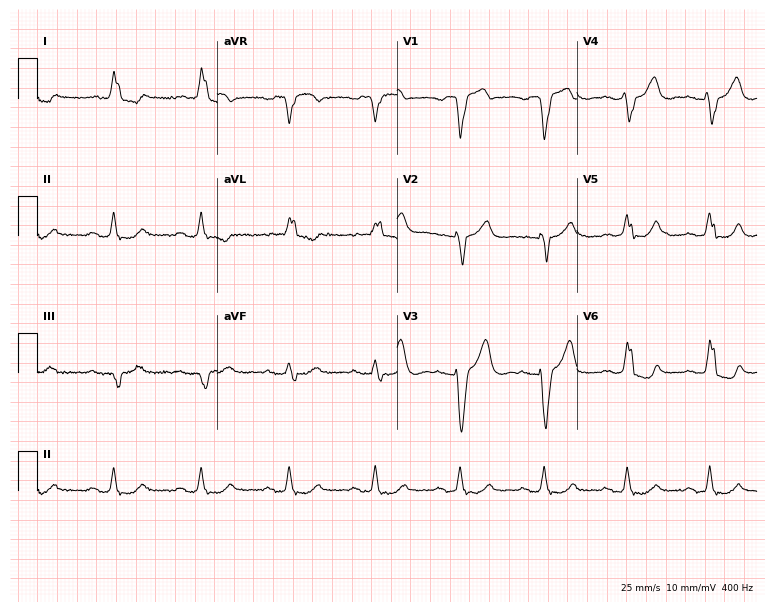
12-lead ECG from a 78-year-old woman (7.3-second recording at 400 Hz). Shows left bundle branch block (LBBB).